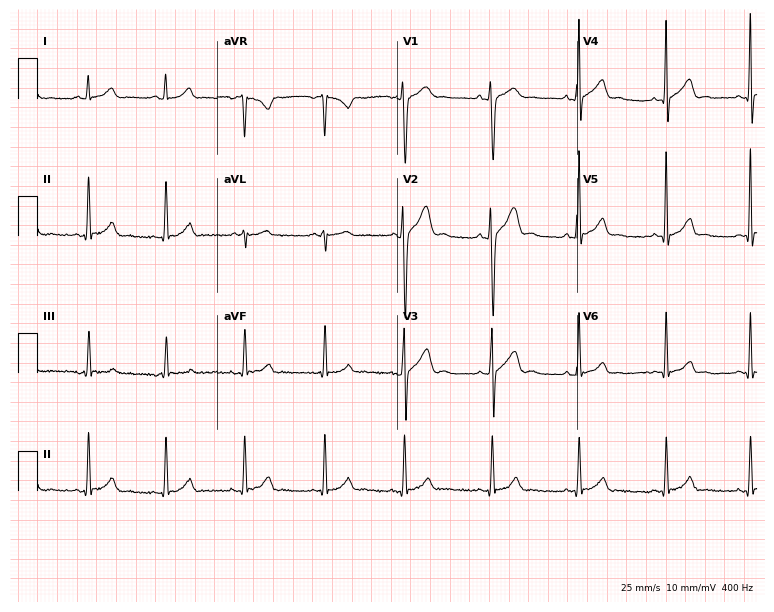
Resting 12-lead electrocardiogram. Patient: a male, 24 years old. Read as a normal ECG.